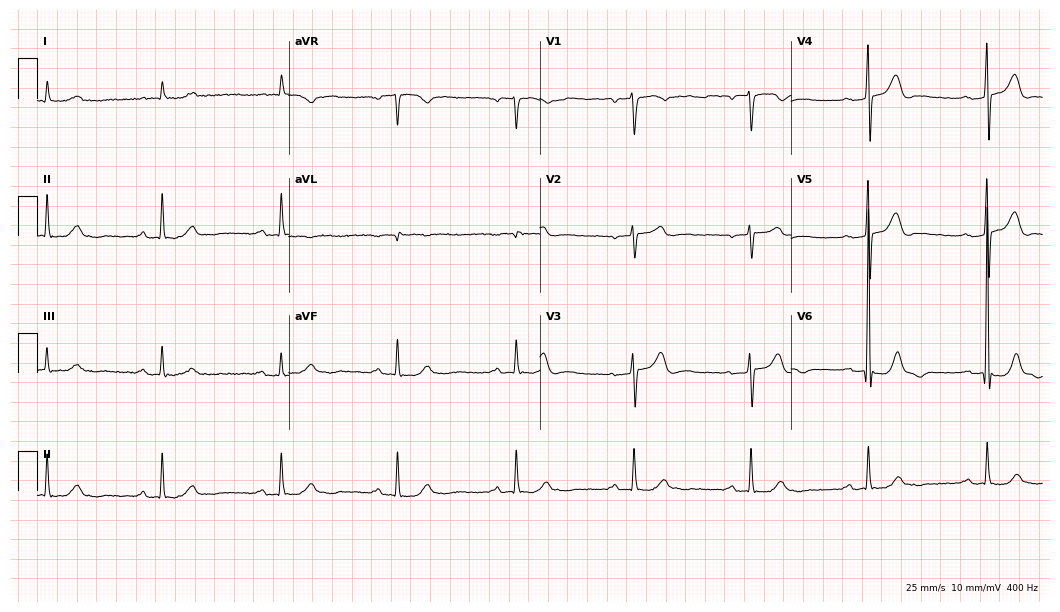
12-lead ECG from a man, 82 years old. Findings include first-degree AV block.